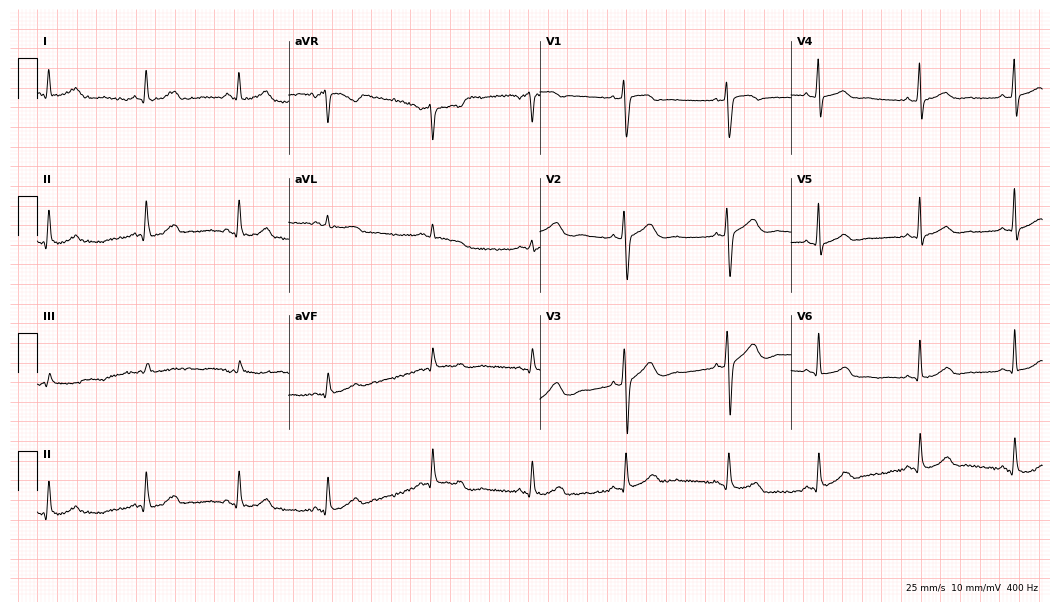
Electrocardiogram (10.2-second recording at 400 Hz), a female patient, 34 years old. Of the six screened findings (first-degree AV block, right bundle branch block, left bundle branch block, sinus bradycardia, atrial fibrillation, sinus tachycardia), none is recorded.